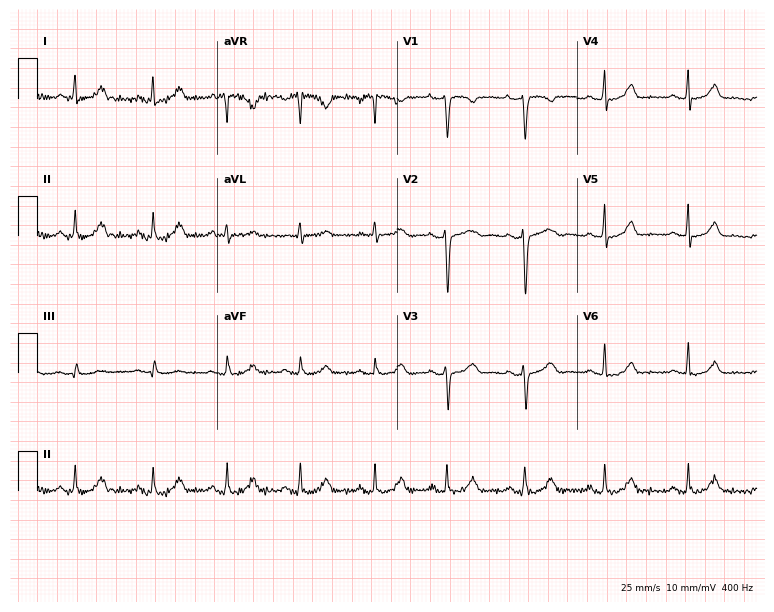
Resting 12-lead electrocardiogram (7.3-second recording at 400 Hz). Patient: a 50-year-old female. Read as a normal ECG.